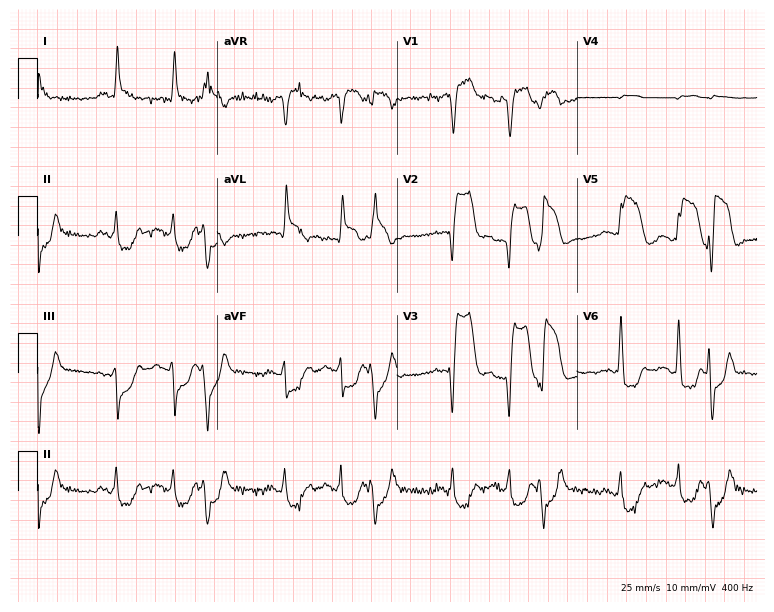
12-lead ECG (7.3-second recording at 400 Hz) from a 59-year-old male. Findings include sinus tachycardia (a sinus rate of 100 beats per minute or more).